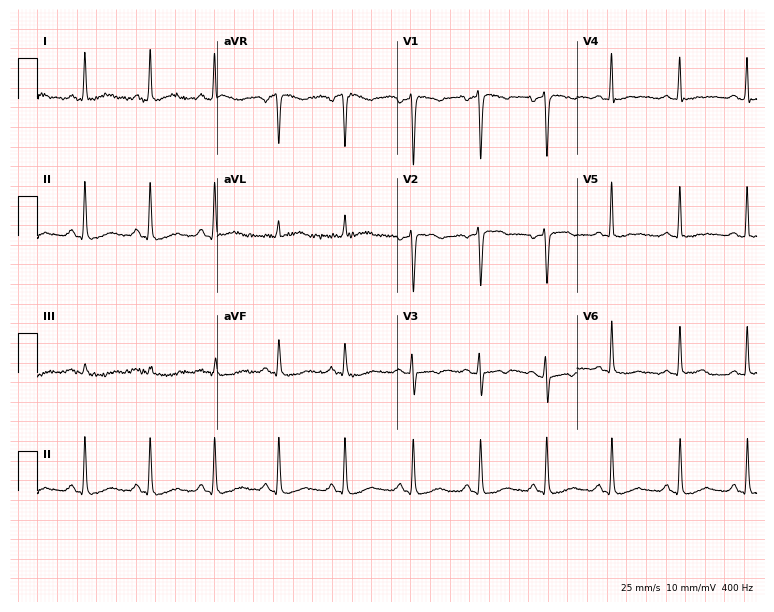
12-lead ECG from a 55-year-old female. Screened for six findings — first-degree AV block, right bundle branch block, left bundle branch block, sinus bradycardia, atrial fibrillation, sinus tachycardia — none is recorded.